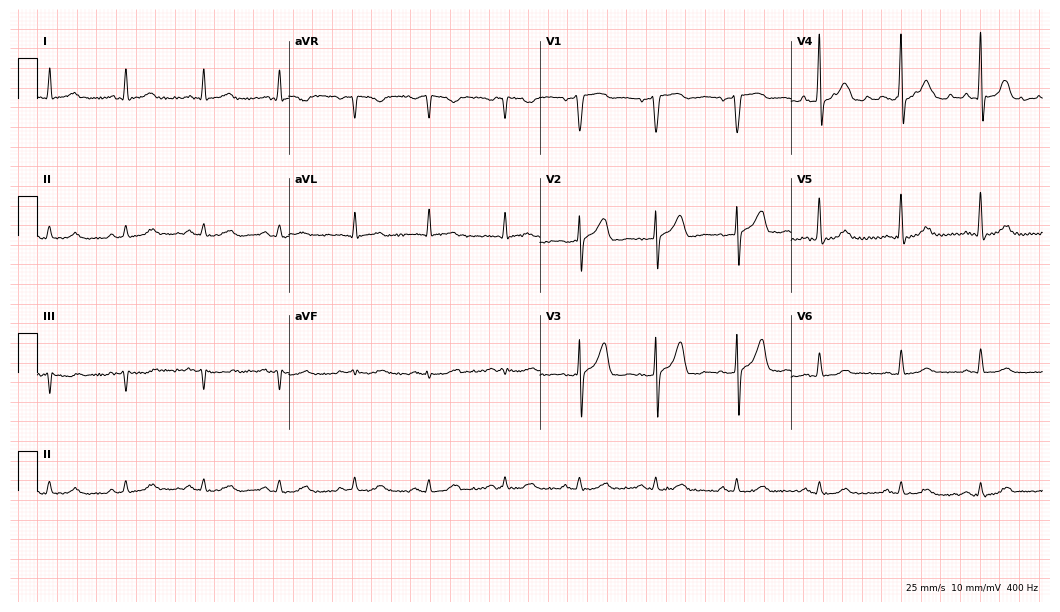
Resting 12-lead electrocardiogram (10.2-second recording at 400 Hz). Patient: a man, 52 years old. None of these six findings is recorded: first-degree AV block, right bundle branch block, left bundle branch block, sinus bradycardia, atrial fibrillation, sinus tachycardia. Only these six findings were labelled.